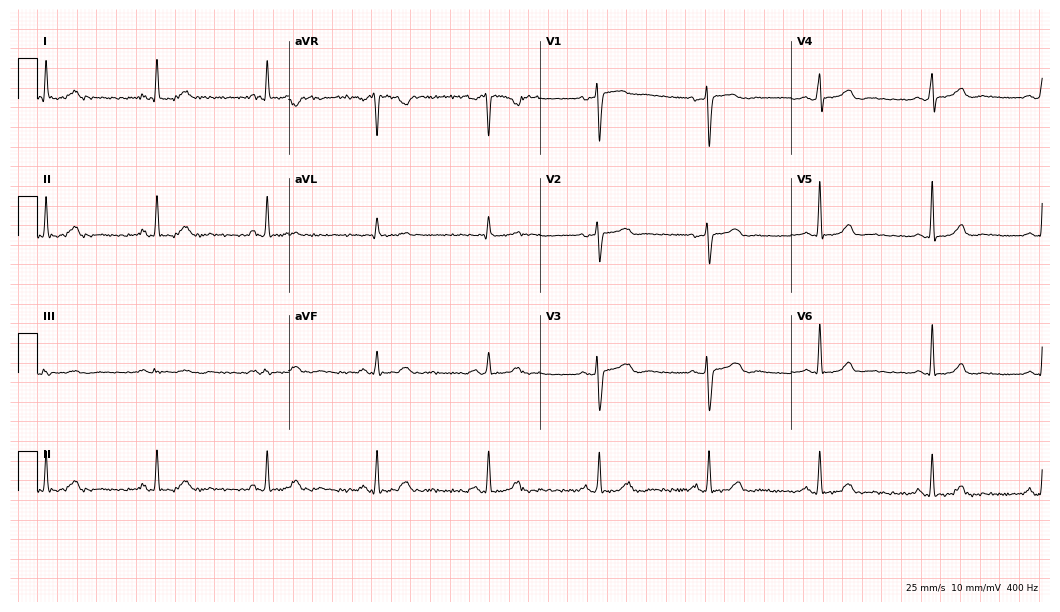
Electrocardiogram, a female, 58 years old. Overall reading on record: normal ECG.